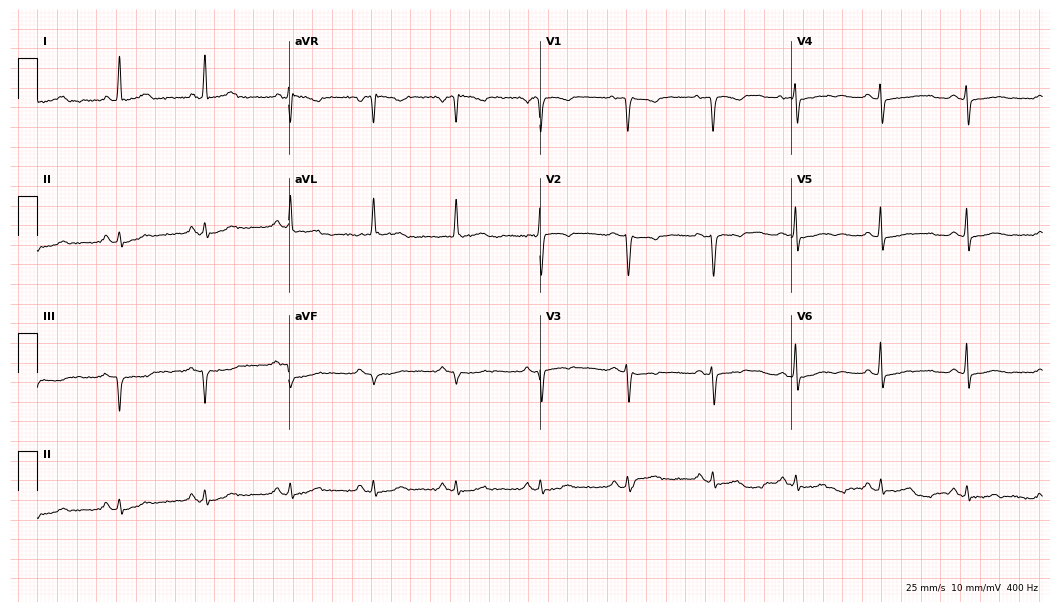
12-lead ECG from an 80-year-old female patient (10.2-second recording at 400 Hz). No first-degree AV block, right bundle branch block (RBBB), left bundle branch block (LBBB), sinus bradycardia, atrial fibrillation (AF) or sinus tachycardia recorded for this tracing. Only these six findings were labelled.